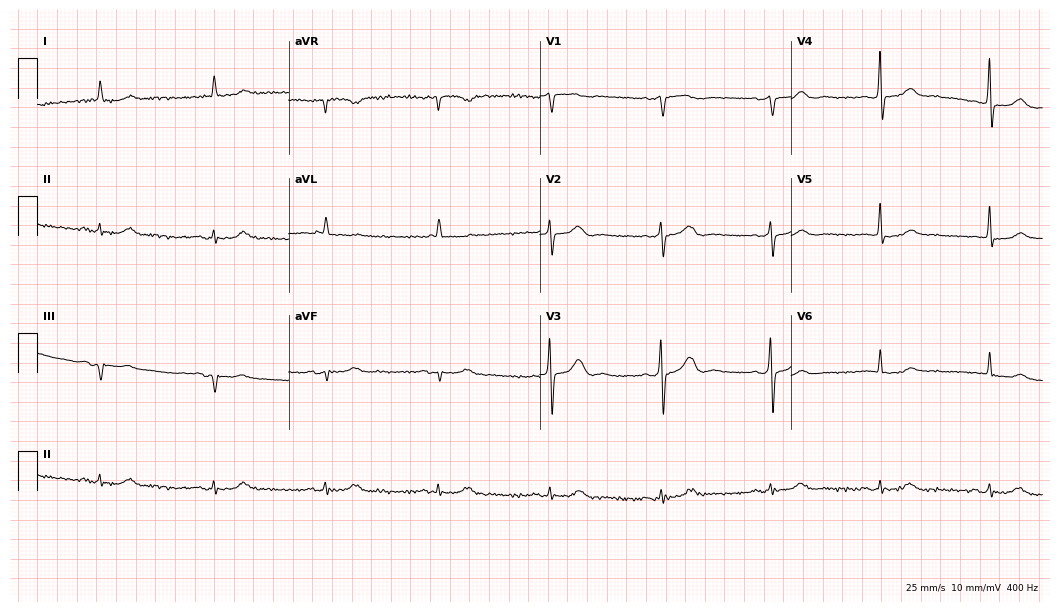
12-lead ECG (10.2-second recording at 400 Hz) from an 87-year-old female patient. Screened for six findings — first-degree AV block, right bundle branch block (RBBB), left bundle branch block (LBBB), sinus bradycardia, atrial fibrillation (AF), sinus tachycardia — none is recorded. Findings outside these six are not listed.